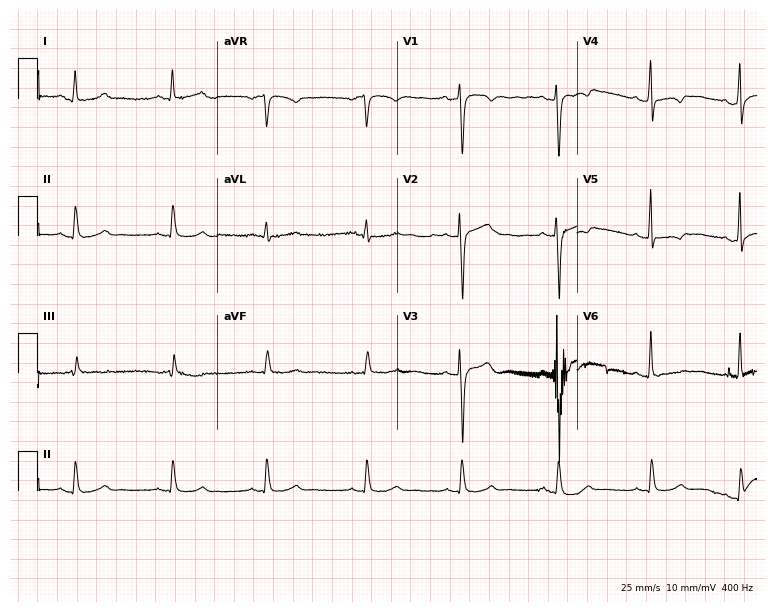
12-lead ECG (7.3-second recording at 400 Hz) from a 49-year-old man. Screened for six findings — first-degree AV block, right bundle branch block, left bundle branch block, sinus bradycardia, atrial fibrillation, sinus tachycardia — none is recorded.